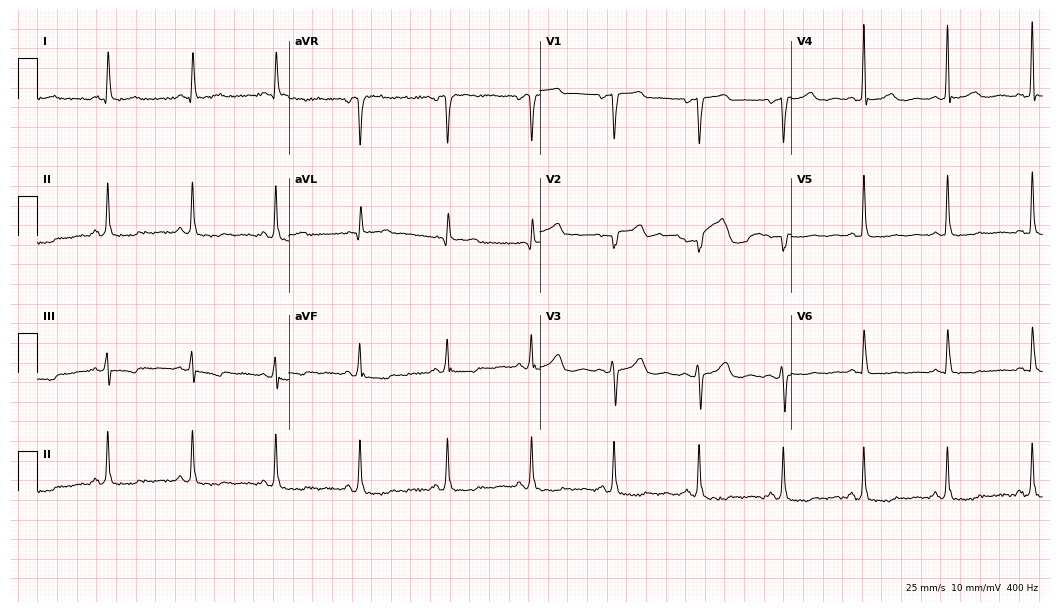
Standard 12-lead ECG recorded from a 68-year-old woman (10.2-second recording at 400 Hz). None of these six findings is recorded: first-degree AV block, right bundle branch block, left bundle branch block, sinus bradycardia, atrial fibrillation, sinus tachycardia. Only these six findings were labelled.